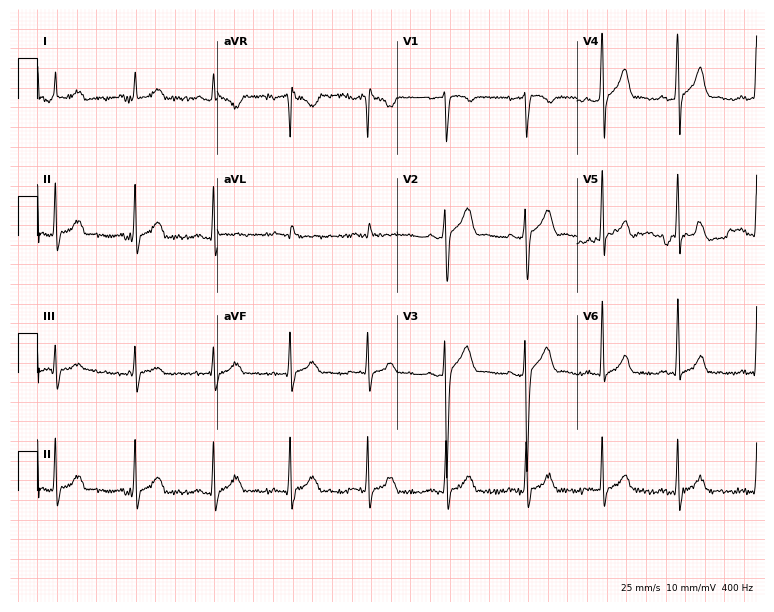
Standard 12-lead ECG recorded from a 27-year-old male patient. Read as a normal ECG.